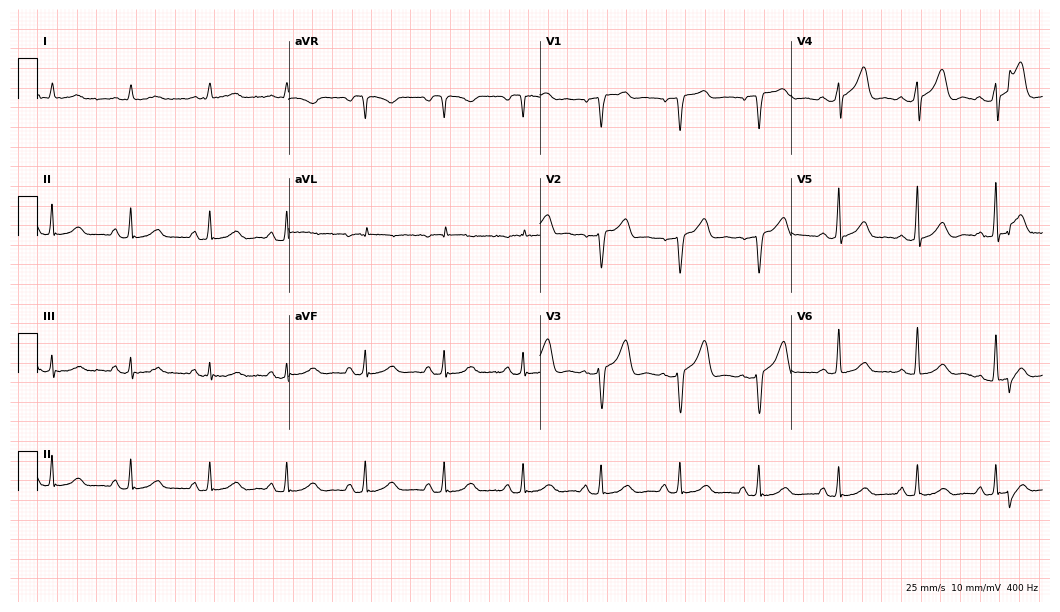
Resting 12-lead electrocardiogram. Patient: a female, 79 years old. Read as a normal ECG.